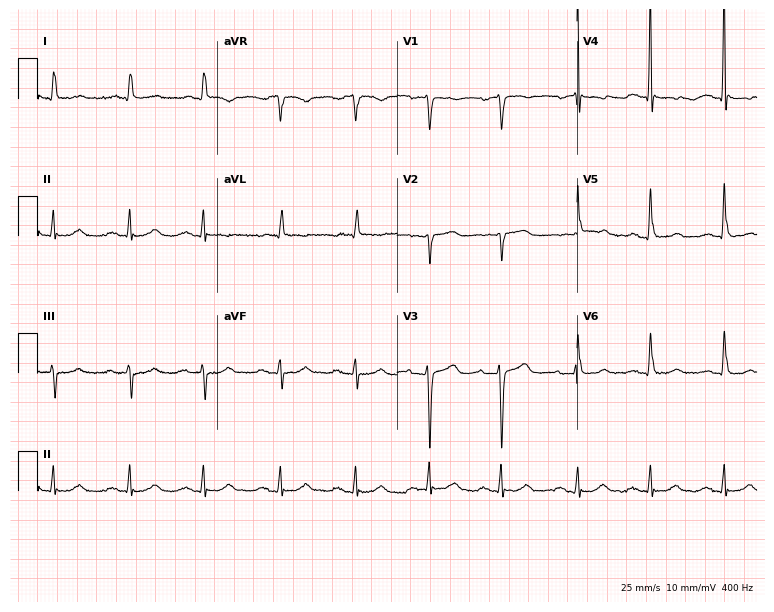
Resting 12-lead electrocardiogram (7.3-second recording at 400 Hz). Patient: a 78-year-old female. Read as a normal ECG.